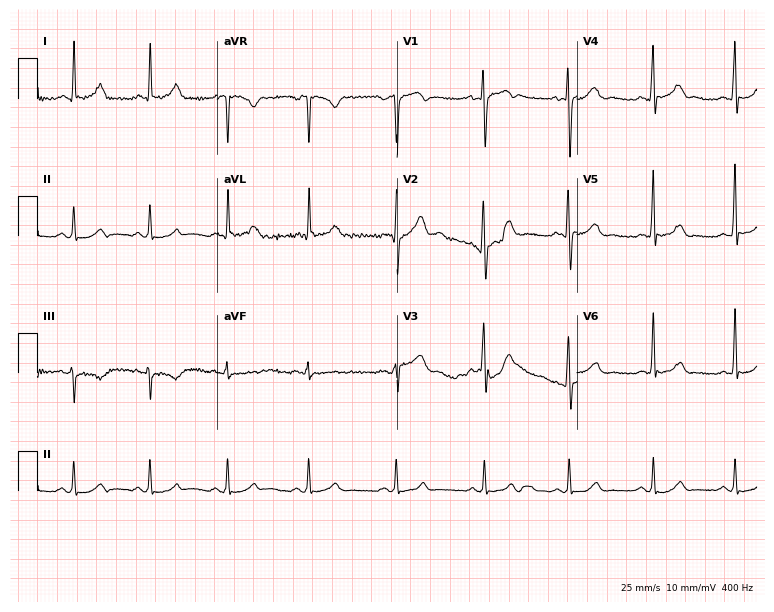
12-lead ECG (7.3-second recording at 400 Hz) from a 63-year-old female. Labelled as a normal ECG.